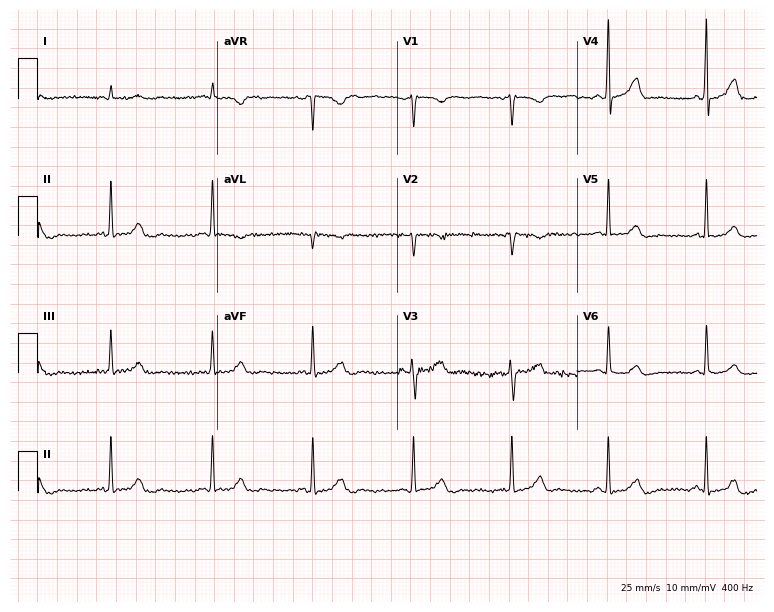
Standard 12-lead ECG recorded from a 68-year-old male (7.3-second recording at 400 Hz). Read as a normal ECG.